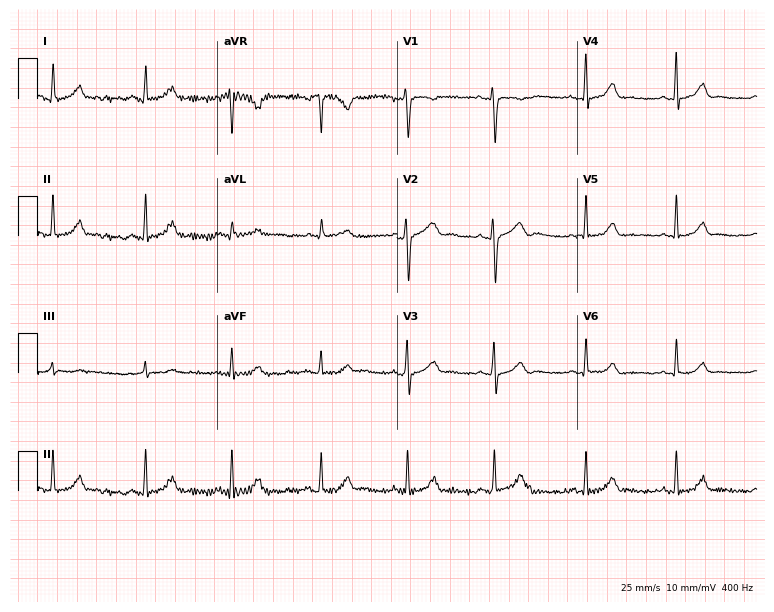
Resting 12-lead electrocardiogram (7.3-second recording at 400 Hz). Patient: a 33-year-old female. Read as a normal ECG.